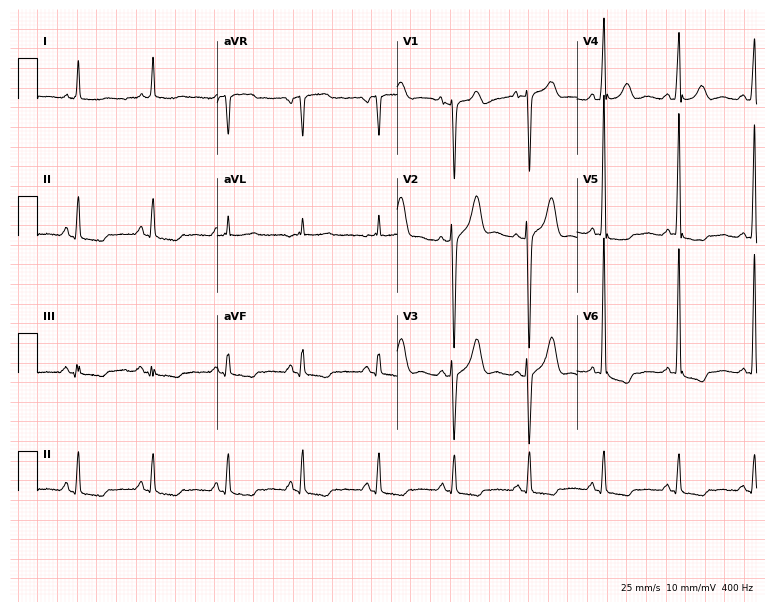
12-lead ECG (7.3-second recording at 400 Hz) from a 68-year-old male. Screened for six findings — first-degree AV block, right bundle branch block, left bundle branch block, sinus bradycardia, atrial fibrillation, sinus tachycardia — none is recorded.